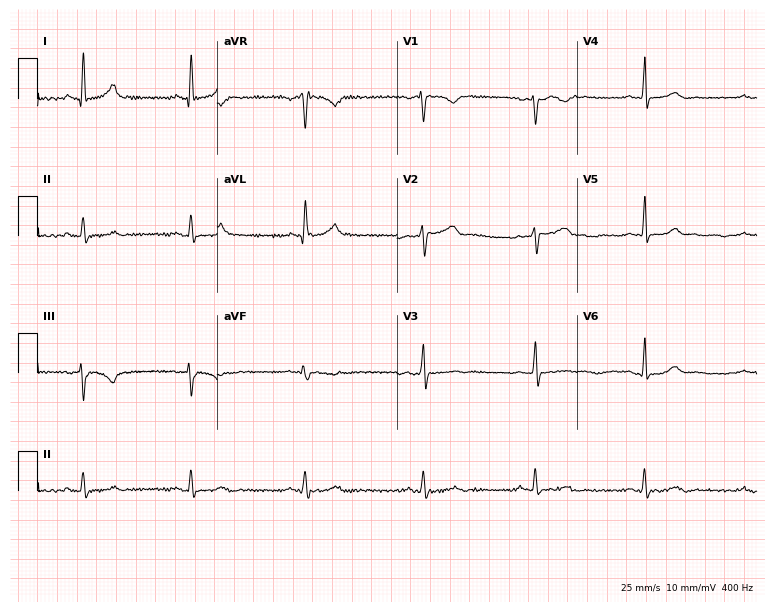
Electrocardiogram (7.3-second recording at 400 Hz), a female patient, 54 years old. Overall reading on record: normal ECG.